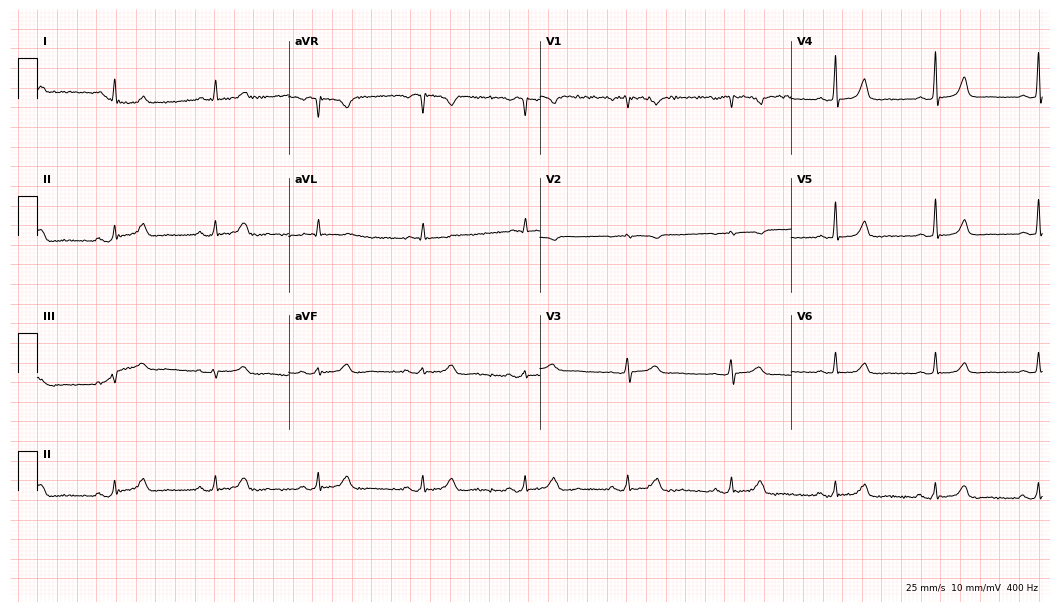
Electrocardiogram (10.2-second recording at 400 Hz), a 69-year-old woman. Overall reading on record: normal ECG.